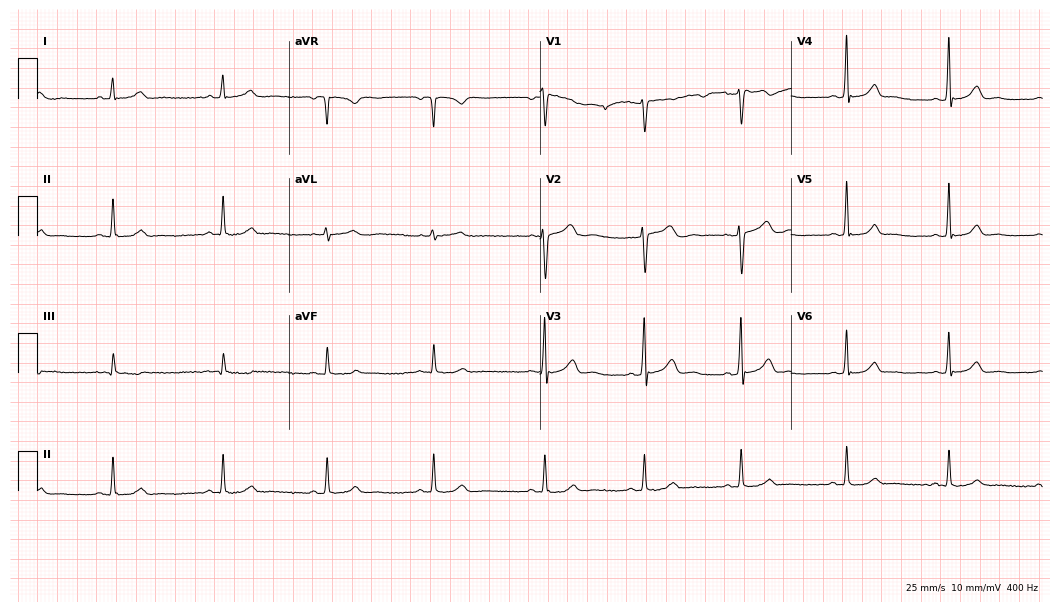
12-lead ECG from a woman, 27 years old. Labelled as a normal ECG.